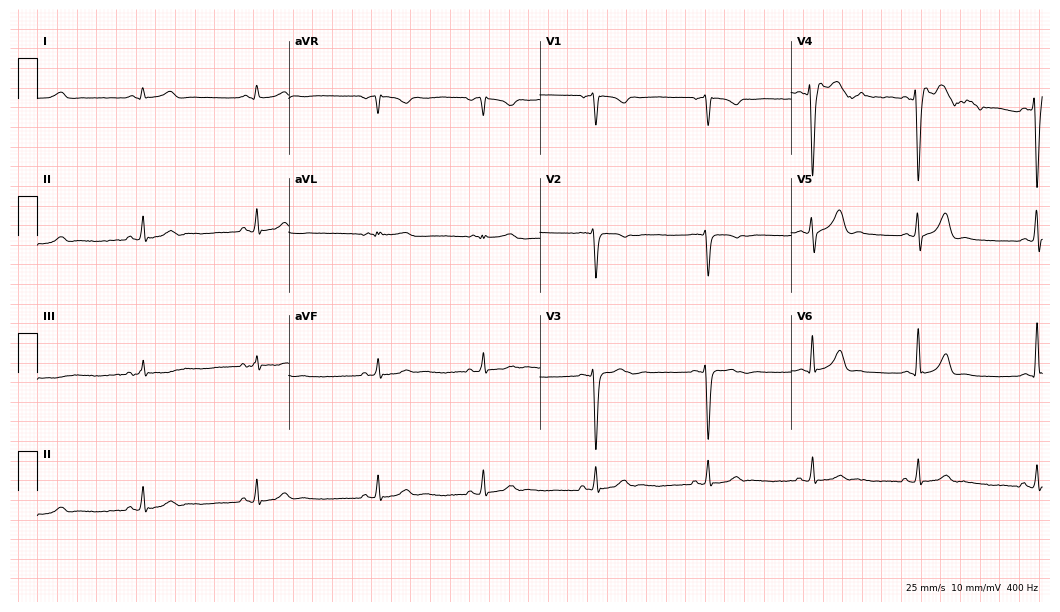
12-lead ECG from a 24-year-old male. No first-degree AV block, right bundle branch block, left bundle branch block, sinus bradycardia, atrial fibrillation or sinus tachycardia recorded for this tracing.